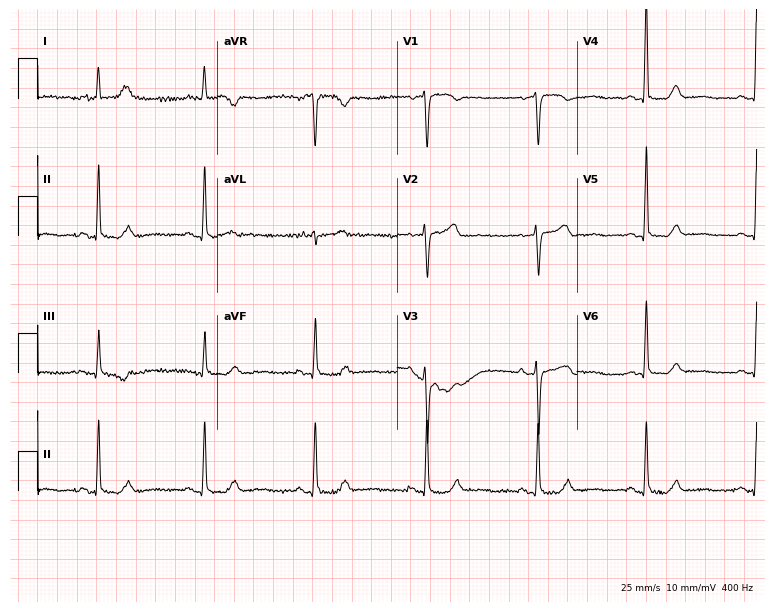
Electrocardiogram, a 73-year-old female. Overall reading on record: normal ECG.